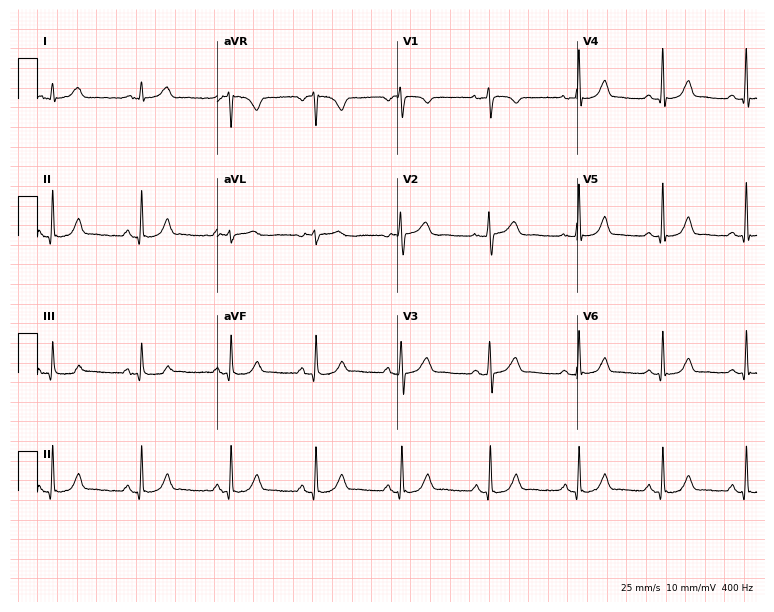
Resting 12-lead electrocardiogram (7.3-second recording at 400 Hz). Patient: a female, 39 years old. Read as a normal ECG.